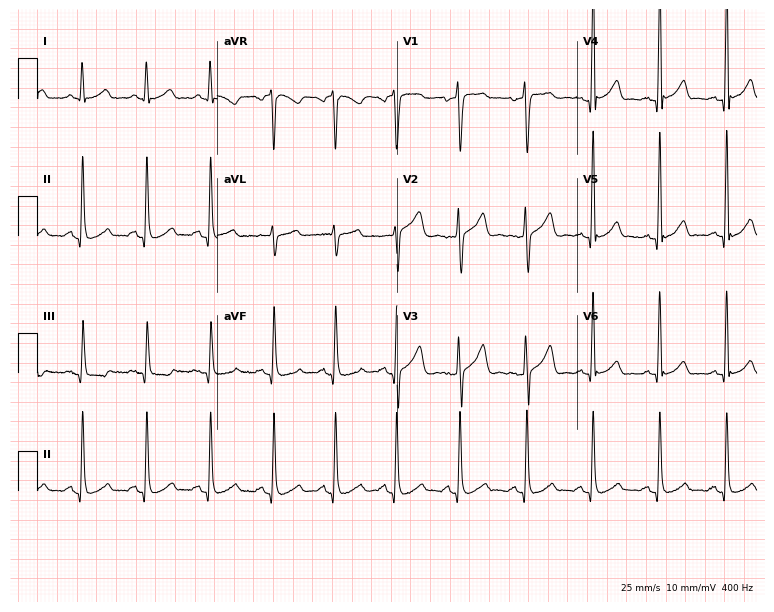
ECG — a 52-year-old woman. Labelled as a normal ECG.